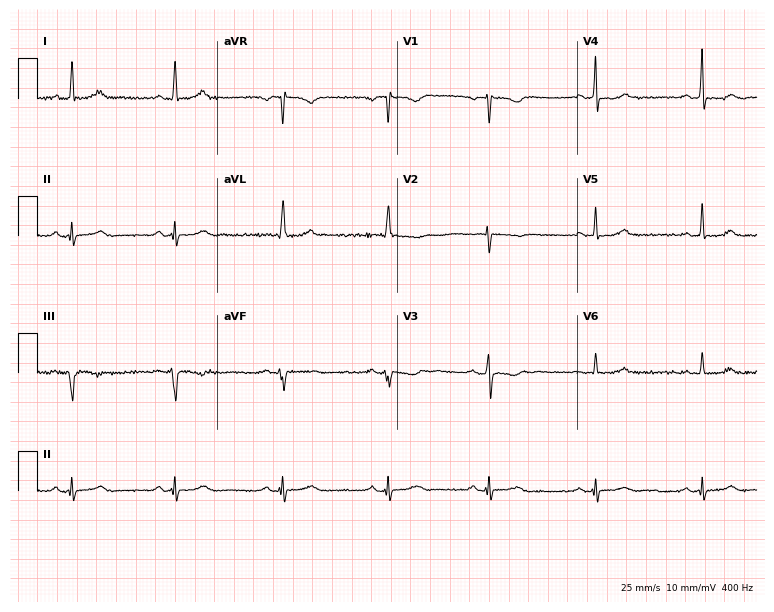
Standard 12-lead ECG recorded from a female, 55 years old (7.3-second recording at 400 Hz). None of these six findings is recorded: first-degree AV block, right bundle branch block, left bundle branch block, sinus bradycardia, atrial fibrillation, sinus tachycardia.